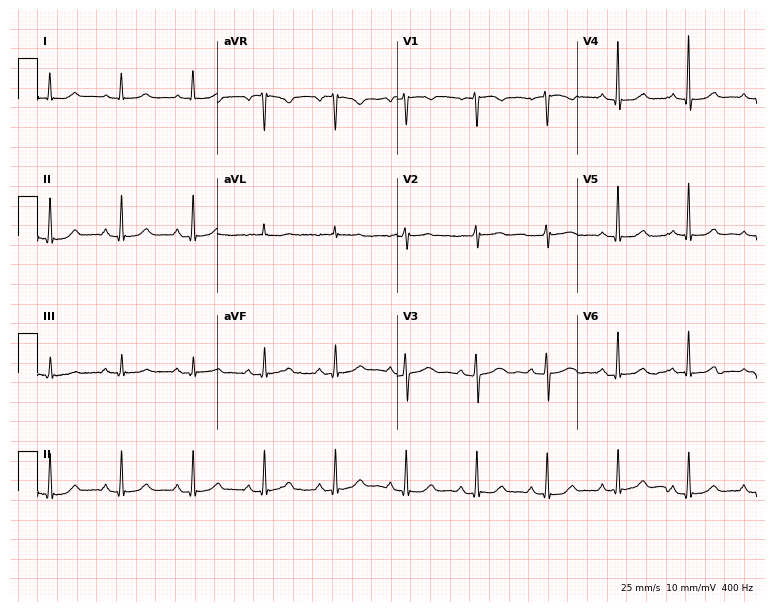
12-lead ECG from a 65-year-old female. No first-degree AV block, right bundle branch block, left bundle branch block, sinus bradycardia, atrial fibrillation or sinus tachycardia recorded for this tracing. Findings outside these six are not listed.